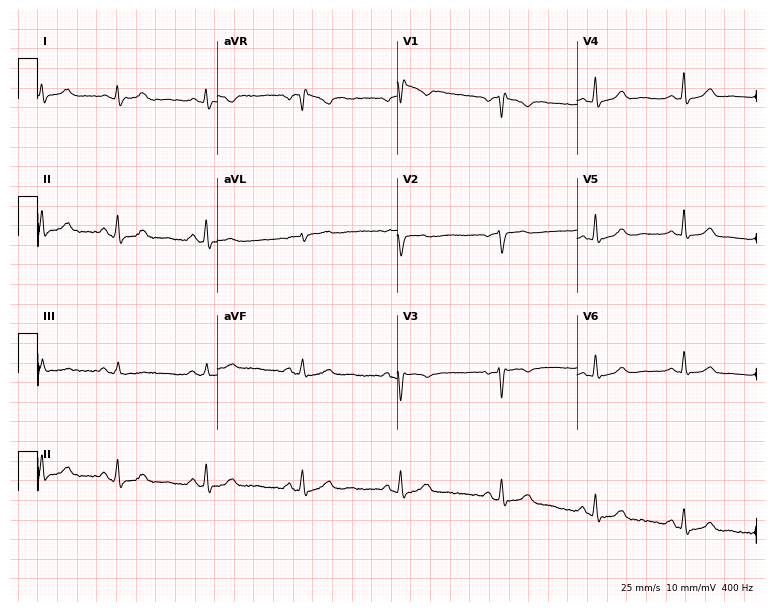
Electrocardiogram (7.3-second recording at 400 Hz), a 47-year-old woman. Of the six screened findings (first-degree AV block, right bundle branch block, left bundle branch block, sinus bradycardia, atrial fibrillation, sinus tachycardia), none is recorded. Other findings, if any, are not listed.